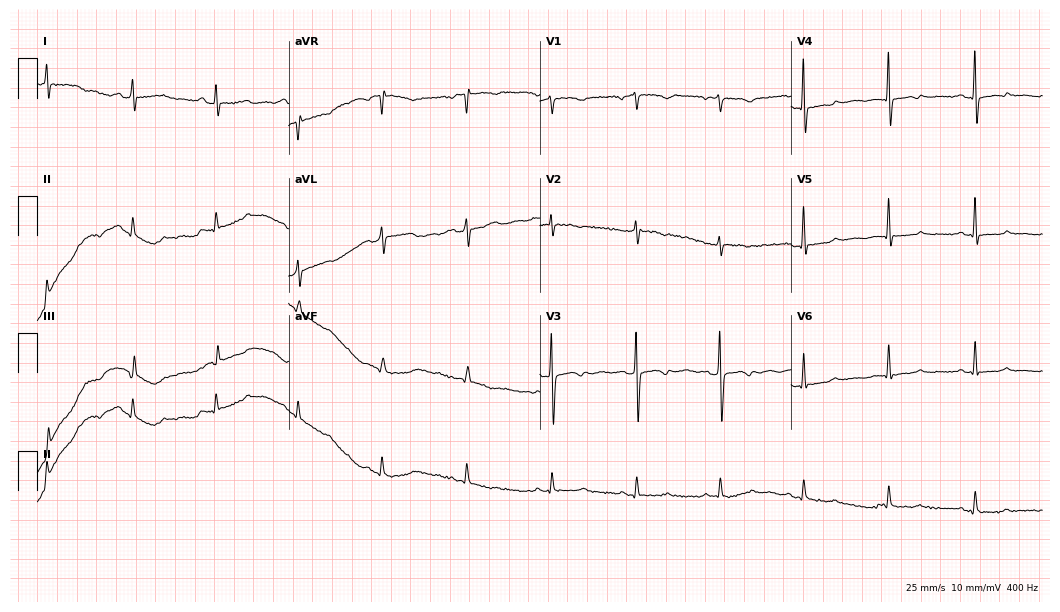
Standard 12-lead ECG recorded from a woman, 68 years old. None of these six findings is recorded: first-degree AV block, right bundle branch block, left bundle branch block, sinus bradycardia, atrial fibrillation, sinus tachycardia.